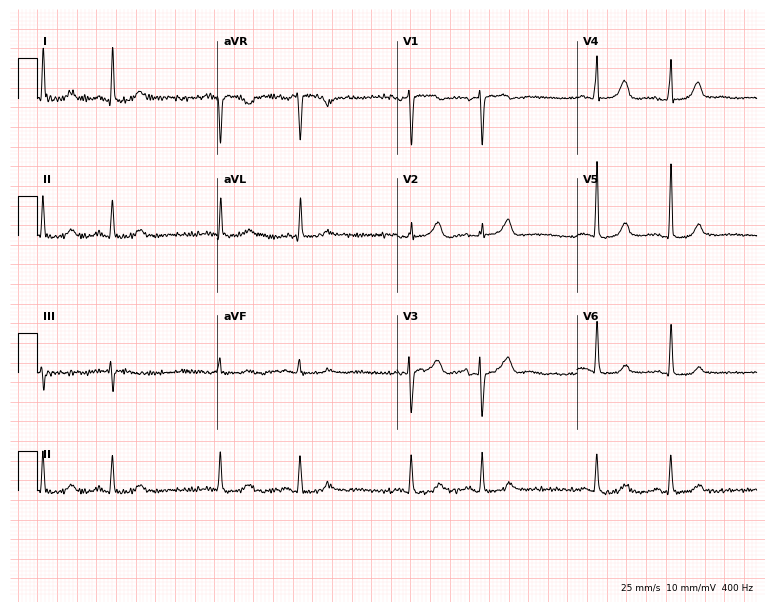
12-lead ECG from a 74-year-old female (7.3-second recording at 400 Hz). No first-degree AV block, right bundle branch block (RBBB), left bundle branch block (LBBB), sinus bradycardia, atrial fibrillation (AF) or sinus tachycardia recorded for this tracing. Other findings, if any, are not listed.